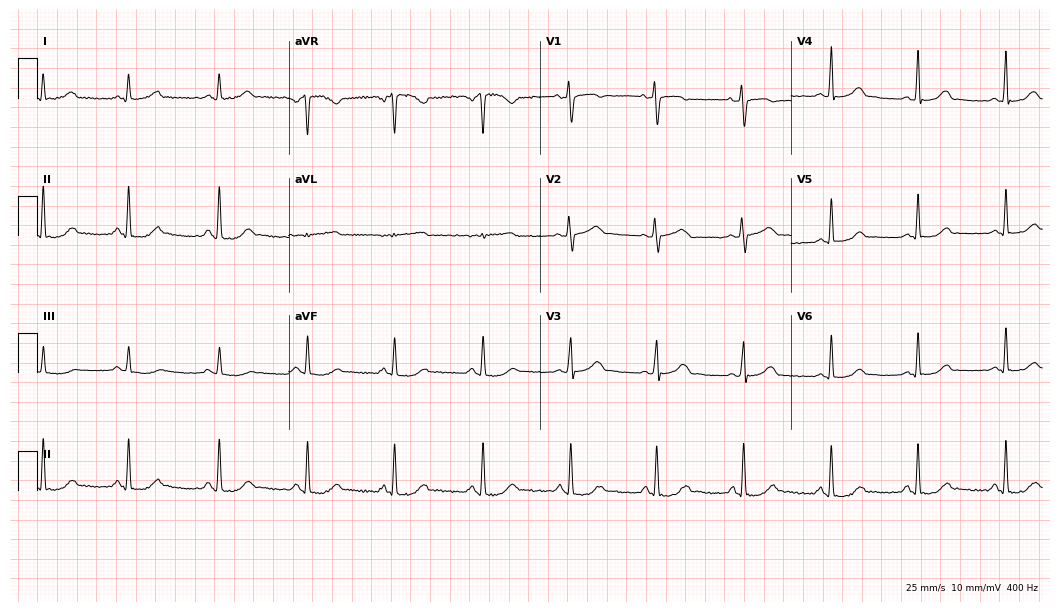
12-lead ECG from a 48-year-old female. No first-degree AV block, right bundle branch block, left bundle branch block, sinus bradycardia, atrial fibrillation or sinus tachycardia recorded for this tracing.